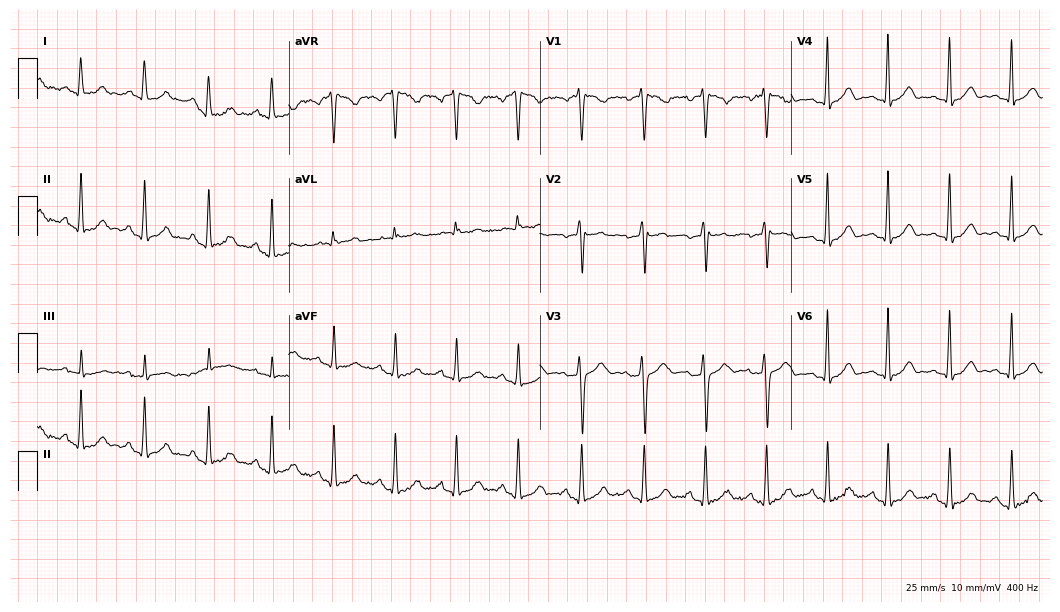
Resting 12-lead electrocardiogram (10.2-second recording at 400 Hz). Patient: a female, 46 years old. None of these six findings is recorded: first-degree AV block, right bundle branch block, left bundle branch block, sinus bradycardia, atrial fibrillation, sinus tachycardia. Findings outside these six are not listed.